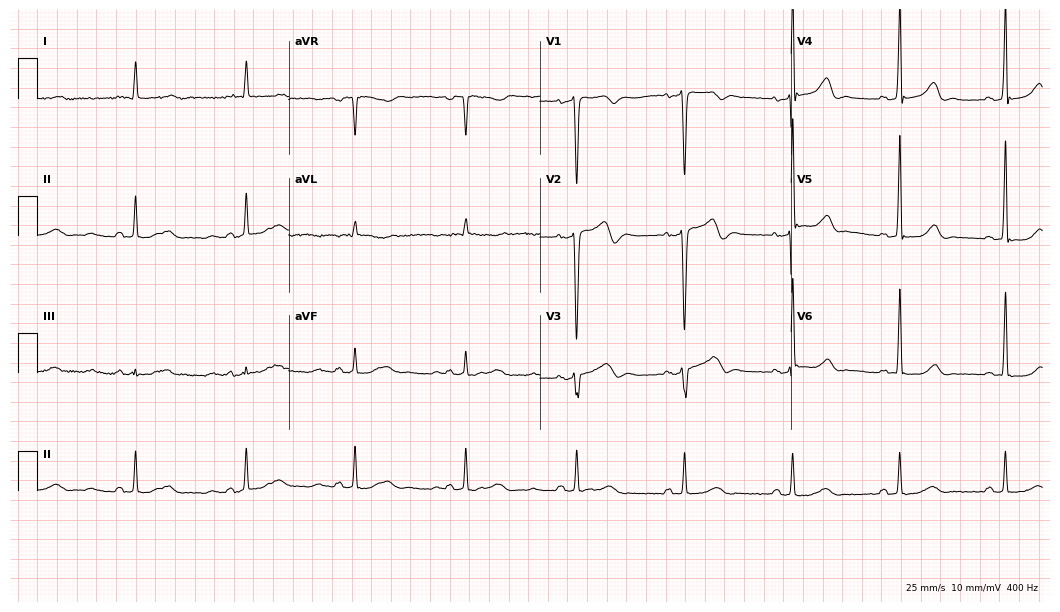
12-lead ECG from a male patient, 46 years old. Recorded interpretation: within normal limits.